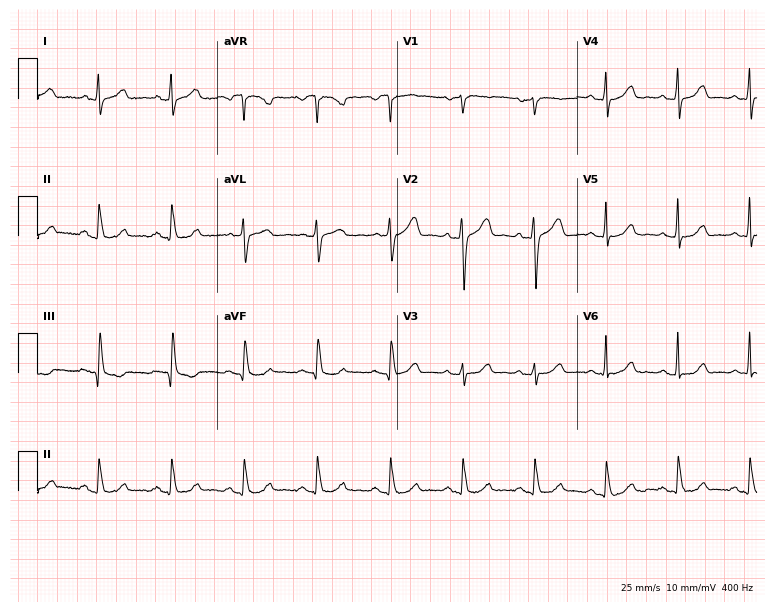
Resting 12-lead electrocardiogram (7.3-second recording at 400 Hz). Patient: a 36-year-old female. Read as a normal ECG.